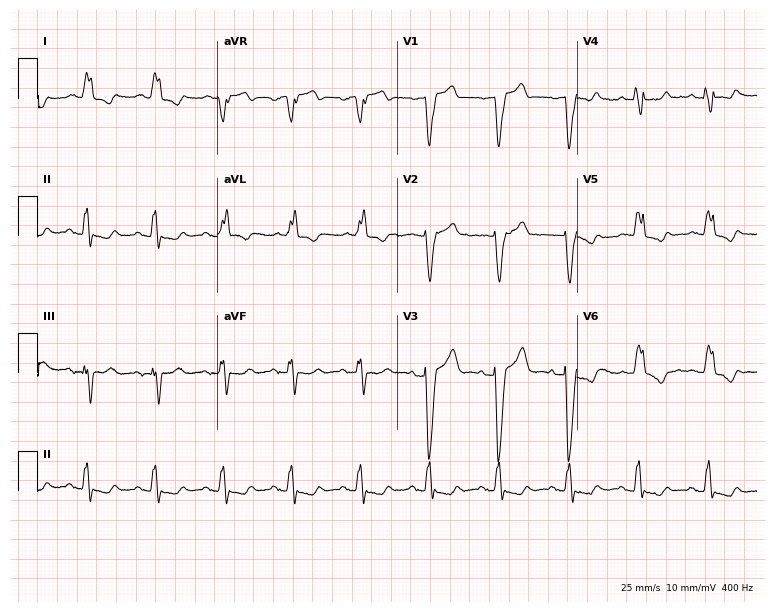
Resting 12-lead electrocardiogram. Patient: an 81-year-old female. The tracing shows left bundle branch block.